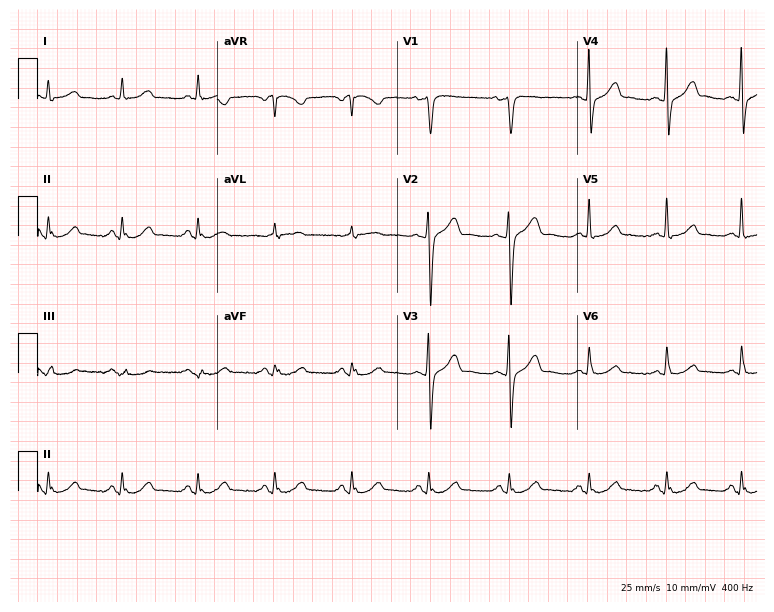
12-lead ECG from a male patient, 59 years old (7.3-second recording at 400 Hz). No first-degree AV block, right bundle branch block, left bundle branch block, sinus bradycardia, atrial fibrillation or sinus tachycardia recorded for this tracing.